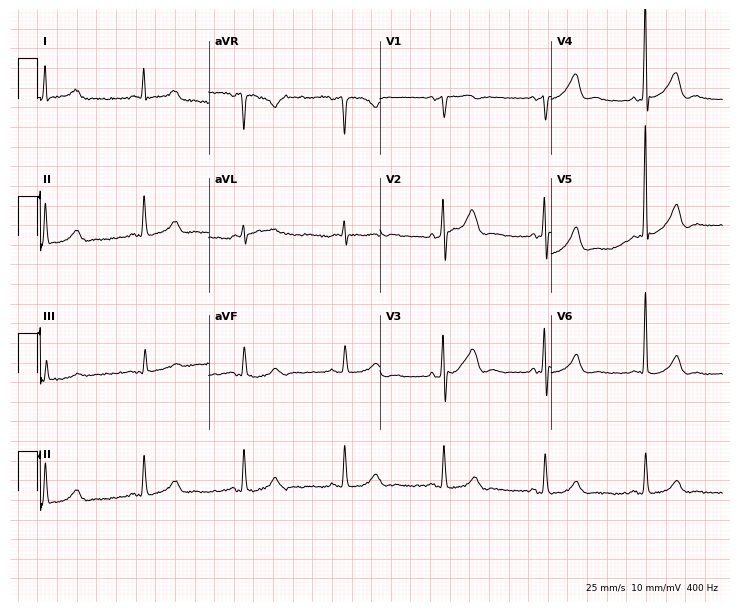
Standard 12-lead ECG recorded from a female, 71 years old (7-second recording at 400 Hz). Read as a normal ECG.